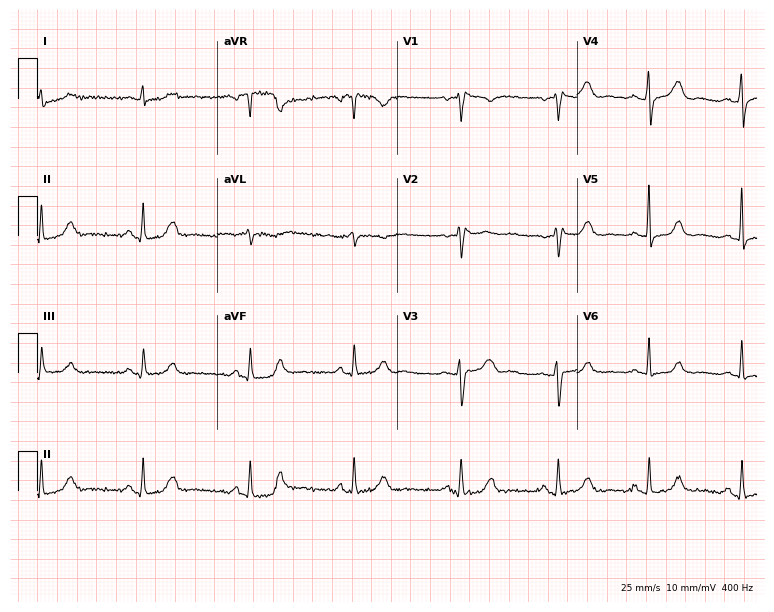
Standard 12-lead ECG recorded from a 54-year-old female. None of these six findings is recorded: first-degree AV block, right bundle branch block, left bundle branch block, sinus bradycardia, atrial fibrillation, sinus tachycardia. Only these six findings were labelled.